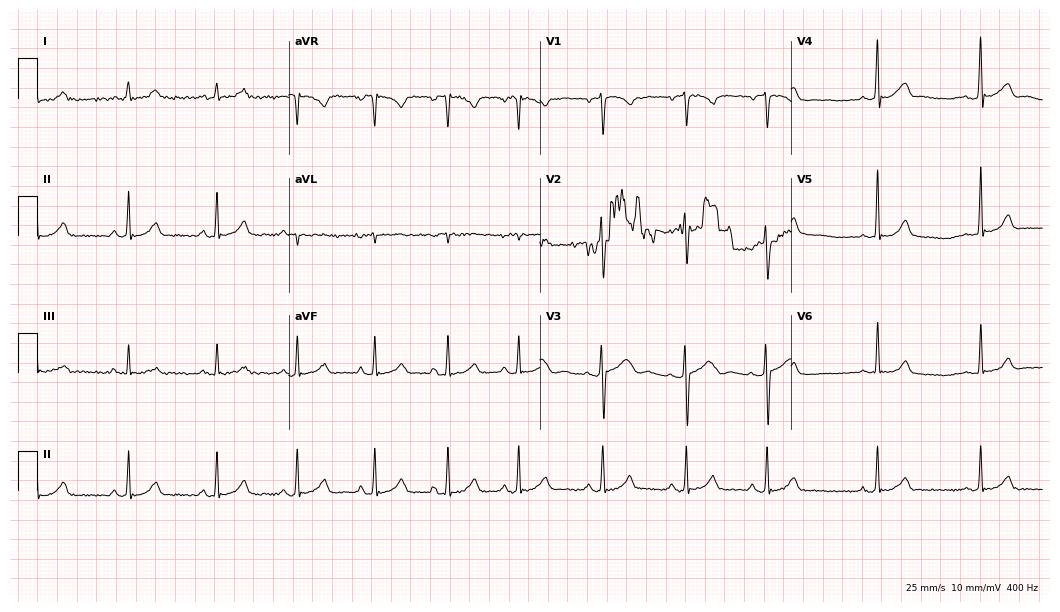
Standard 12-lead ECG recorded from a female patient, 26 years old. Read as a normal ECG.